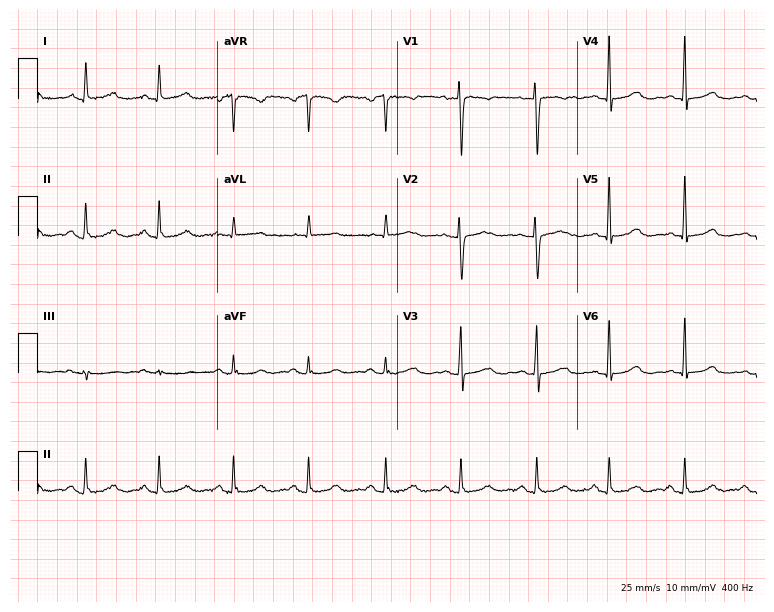
Standard 12-lead ECG recorded from a 56-year-old female patient. Read as a normal ECG.